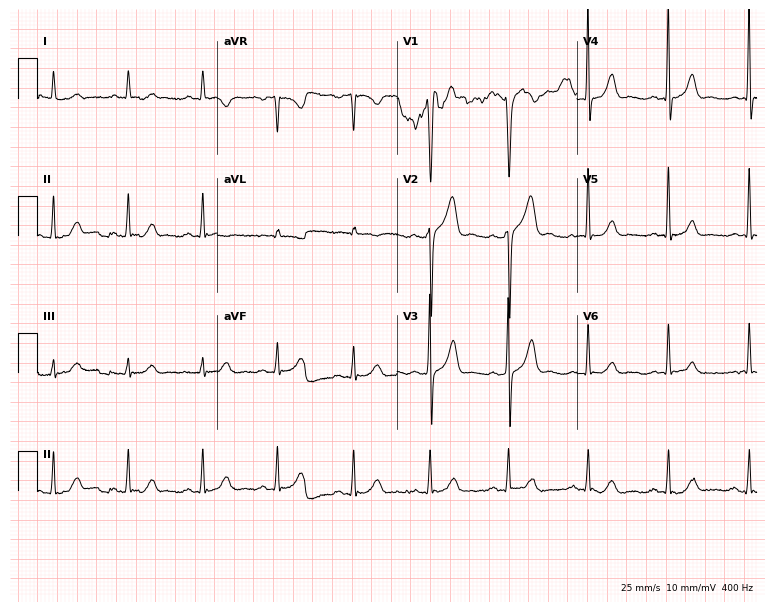
Resting 12-lead electrocardiogram (7.3-second recording at 400 Hz). Patient: a male, 64 years old. None of these six findings is recorded: first-degree AV block, right bundle branch block, left bundle branch block, sinus bradycardia, atrial fibrillation, sinus tachycardia.